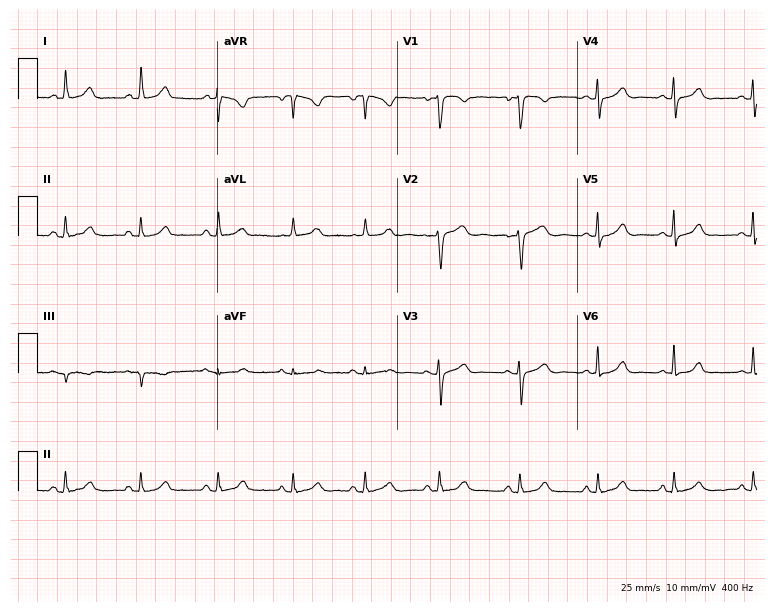
Standard 12-lead ECG recorded from a 52-year-old woman. Read as a normal ECG.